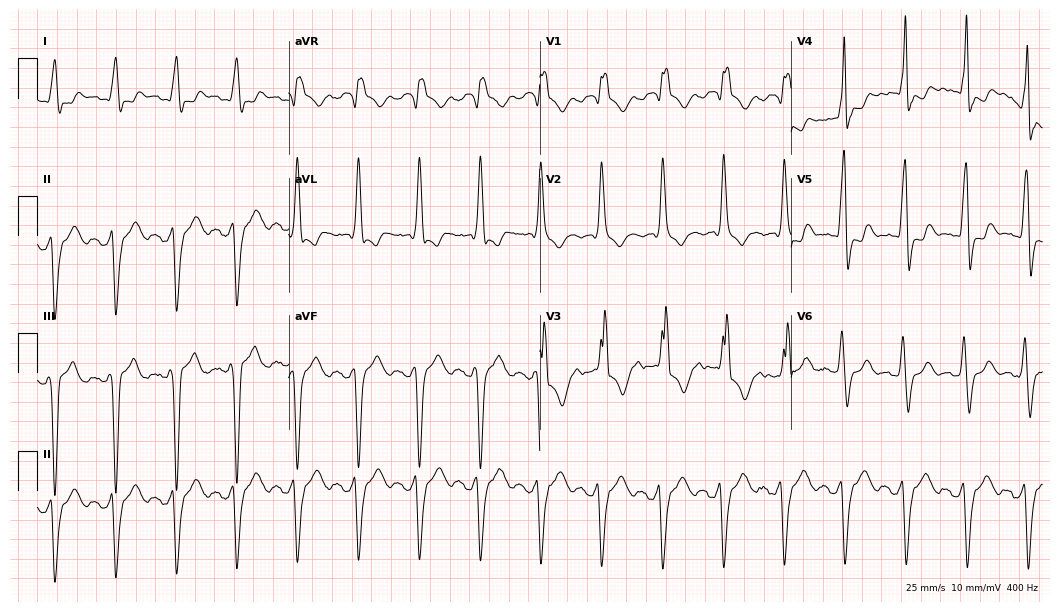
12-lead ECG from a woman, 75 years old. Shows right bundle branch block.